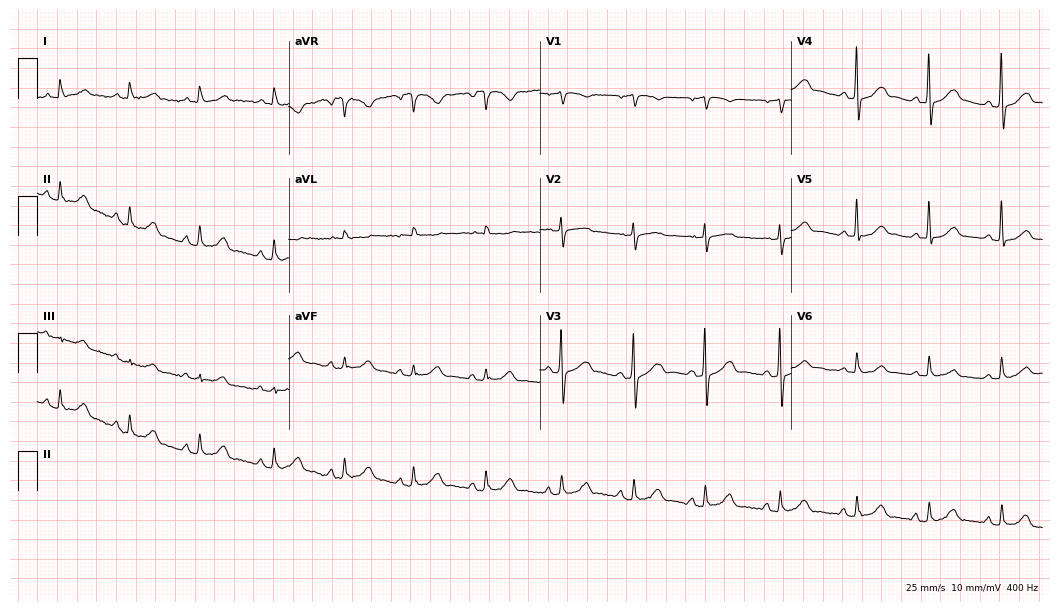
Resting 12-lead electrocardiogram. Patient: a woman, 67 years old. Read as a normal ECG.